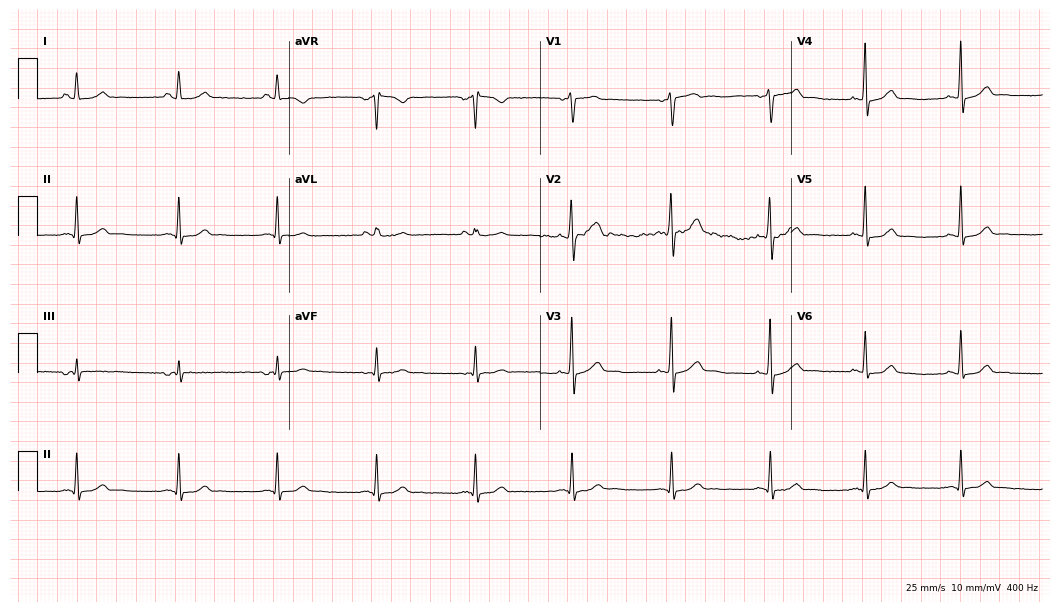
Electrocardiogram (10.2-second recording at 400 Hz), a 51-year-old male. Overall reading on record: normal ECG.